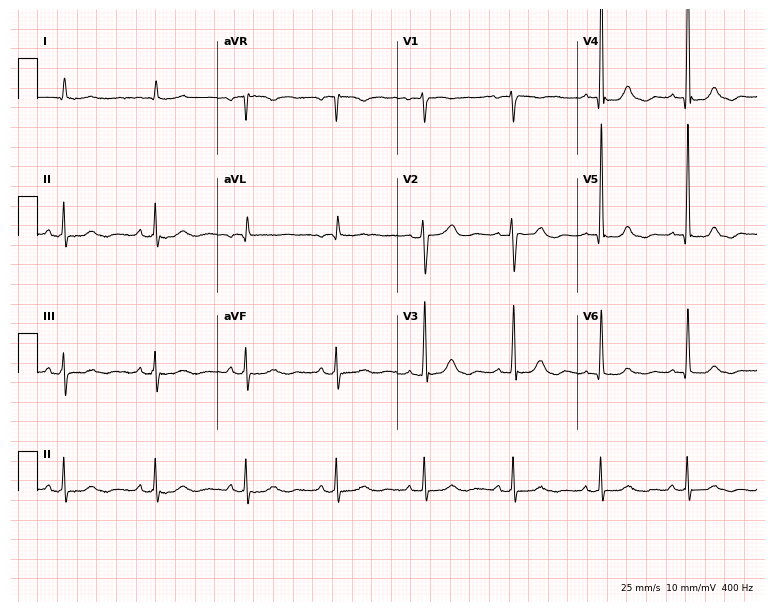
12-lead ECG from a 72-year-old female. No first-degree AV block, right bundle branch block, left bundle branch block, sinus bradycardia, atrial fibrillation or sinus tachycardia recorded for this tracing. Other findings, if any, are not listed.